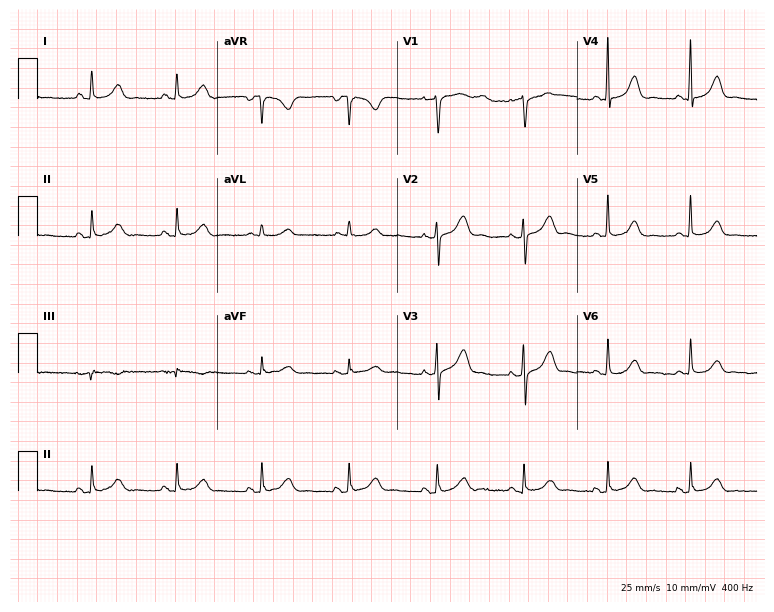
Electrocardiogram (7.3-second recording at 400 Hz), a 56-year-old woman. Of the six screened findings (first-degree AV block, right bundle branch block (RBBB), left bundle branch block (LBBB), sinus bradycardia, atrial fibrillation (AF), sinus tachycardia), none is recorded. Other findings, if any, are not listed.